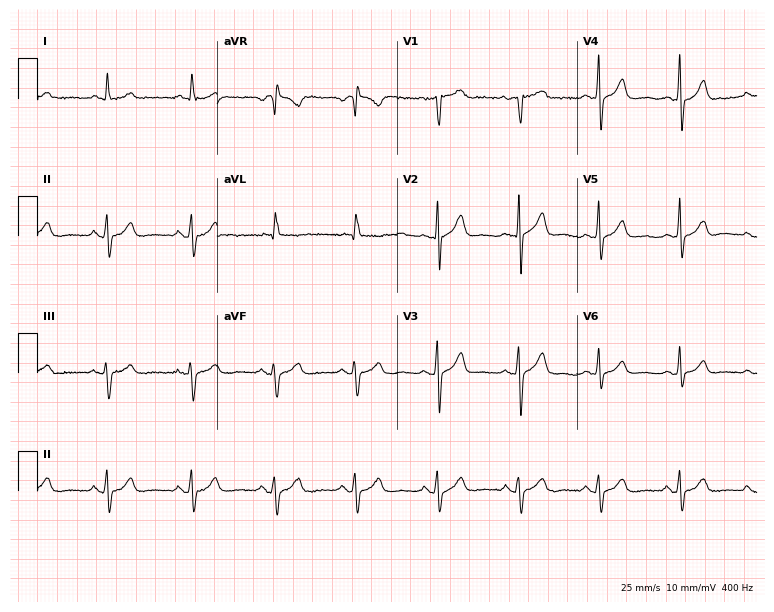
ECG (7.3-second recording at 400 Hz) — a 76-year-old male patient. Labelled as a normal ECG.